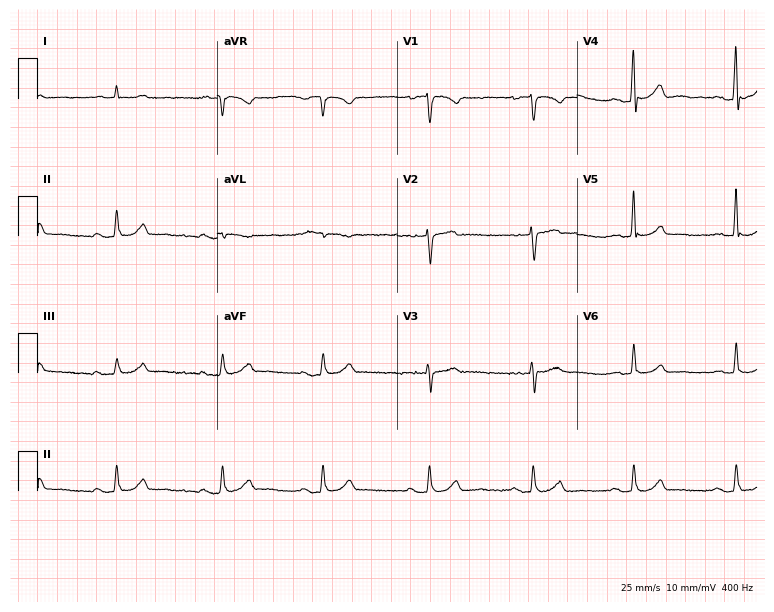
ECG — a male patient, 63 years old. Findings include first-degree AV block.